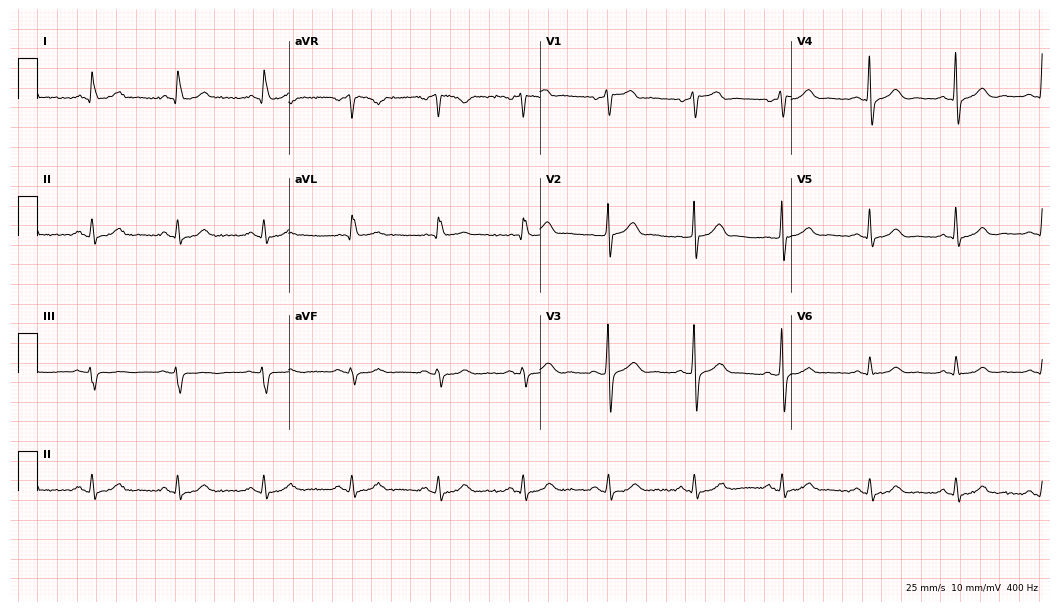
Resting 12-lead electrocardiogram (10.2-second recording at 400 Hz). Patient: a 60-year-old male. None of these six findings is recorded: first-degree AV block, right bundle branch block, left bundle branch block, sinus bradycardia, atrial fibrillation, sinus tachycardia. Only these six findings were labelled.